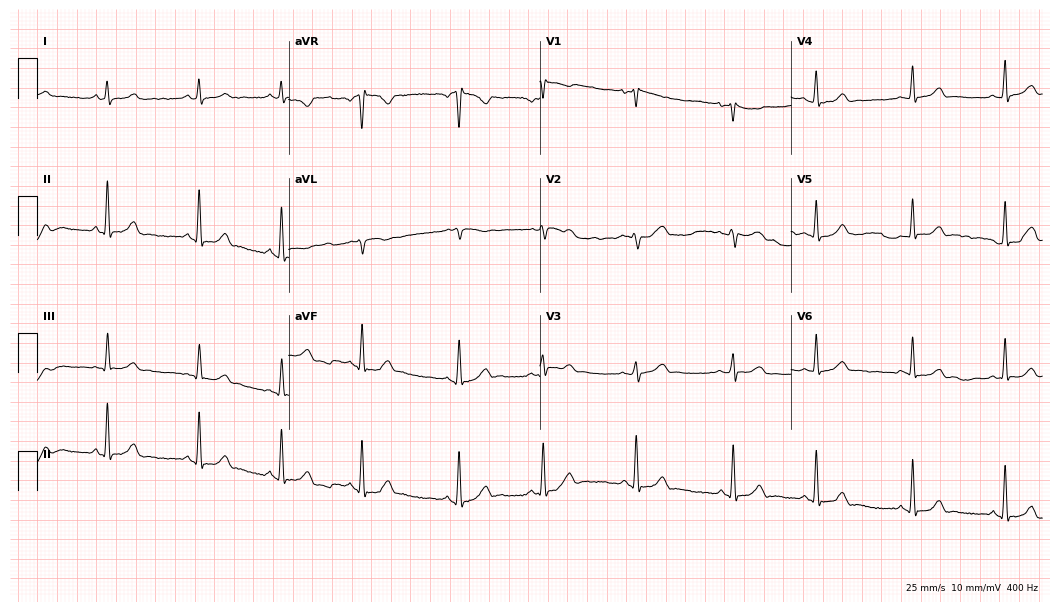
12-lead ECG from a female, 26 years old. No first-degree AV block, right bundle branch block, left bundle branch block, sinus bradycardia, atrial fibrillation or sinus tachycardia recorded for this tracing. Findings outside these six are not listed.